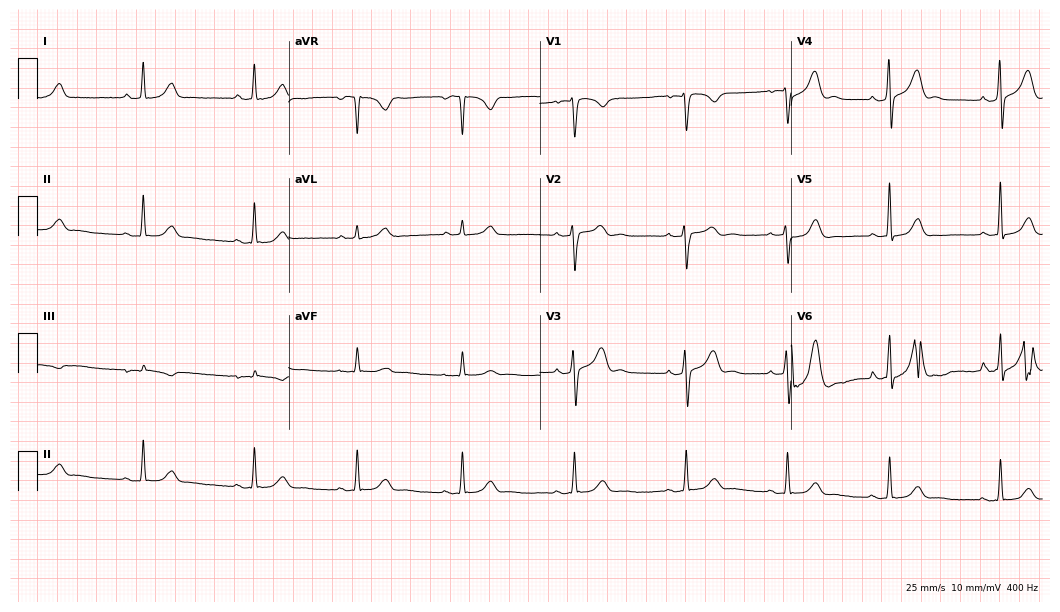
Electrocardiogram, a 28-year-old female patient. Of the six screened findings (first-degree AV block, right bundle branch block, left bundle branch block, sinus bradycardia, atrial fibrillation, sinus tachycardia), none is recorded. Other findings, if any, are not listed.